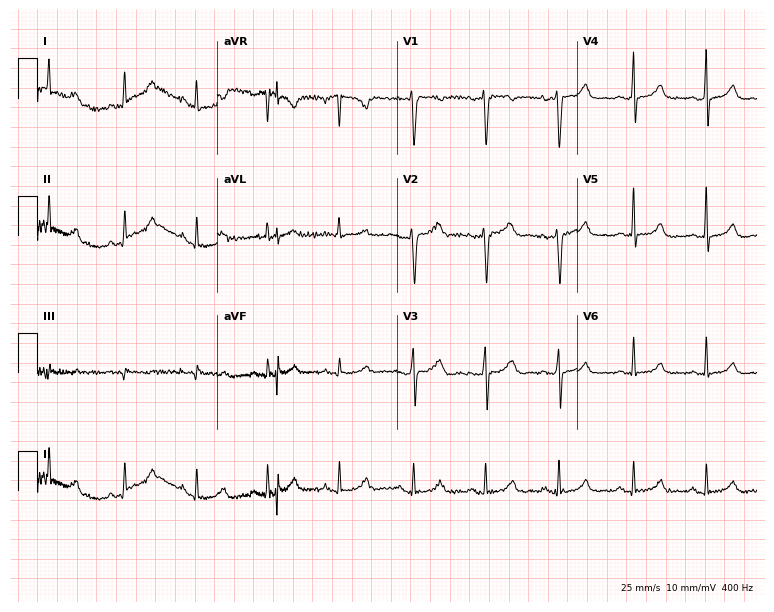
12-lead ECG from a female, 30 years old (7.3-second recording at 400 Hz). No first-degree AV block, right bundle branch block, left bundle branch block, sinus bradycardia, atrial fibrillation or sinus tachycardia recorded for this tracing. Other findings, if any, are not listed.